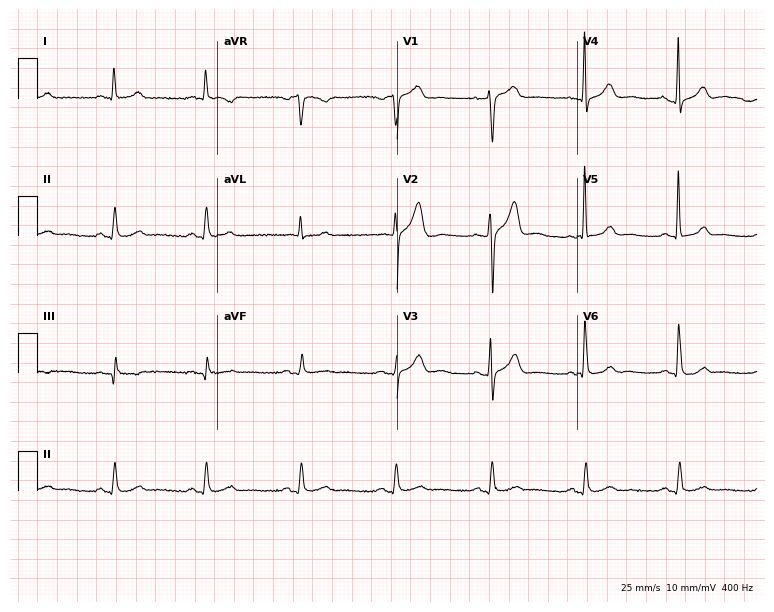
ECG — a 61-year-old male. Screened for six findings — first-degree AV block, right bundle branch block (RBBB), left bundle branch block (LBBB), sinus bradycardia, atrial fibrillation (AF), sinus tachycardia — none is recorded.